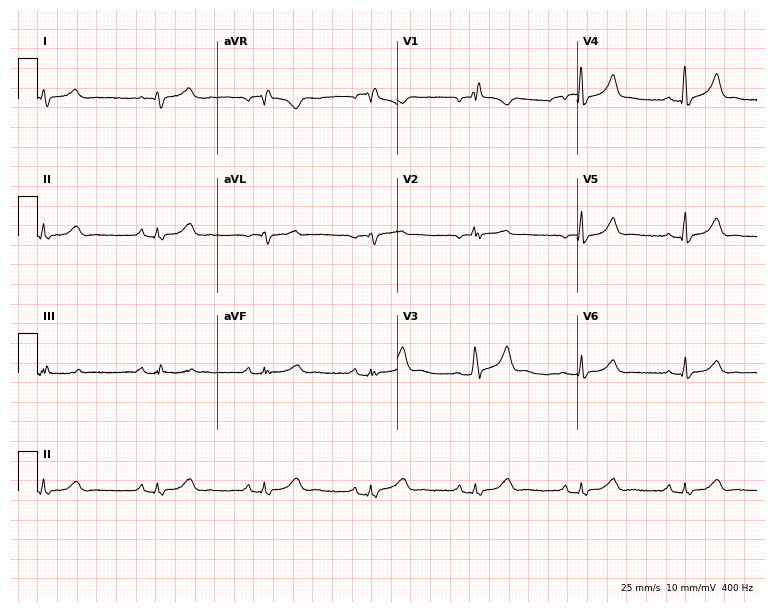
Standard 12-lead ECG recorded from a man, 54 years old. The tracing shows right bundle branch block.